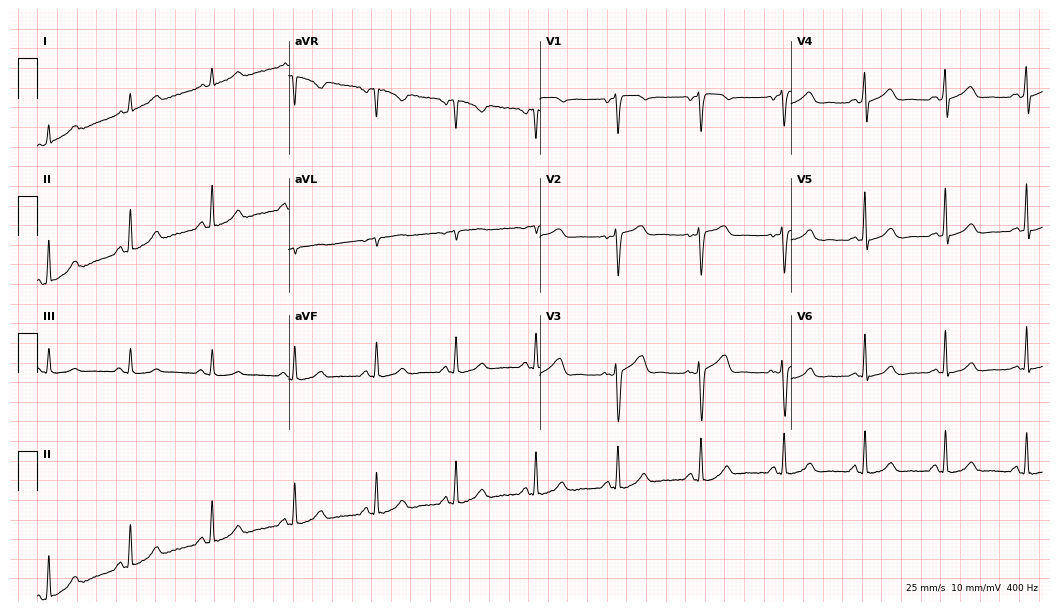
12-lead ECG from a 47-year-old woman (10.2-second recording at 400 Hz). No first-degree AV block, right bundle branch block, left bundle branch block, sinus bradycardia, atrial fibrillation or sinus tachycardia recorded for this tracing. Other findings, if any, are not listed.